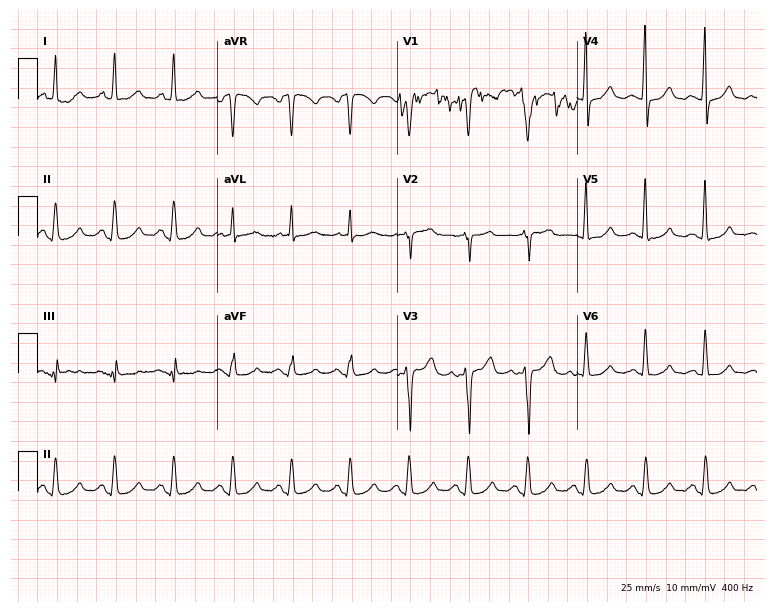
12-lead ECG (7.3-second recording at 400 Hz) from a female, 56 years old. Screened for six findings — first-degree AV block, right bundle branch block (RBBB), left bundle branch block (LBBB), sinus bradycardia, atrial fibrillation (AF), sinus tachycardia — none is recorded. Other findings, if any, are not listed.